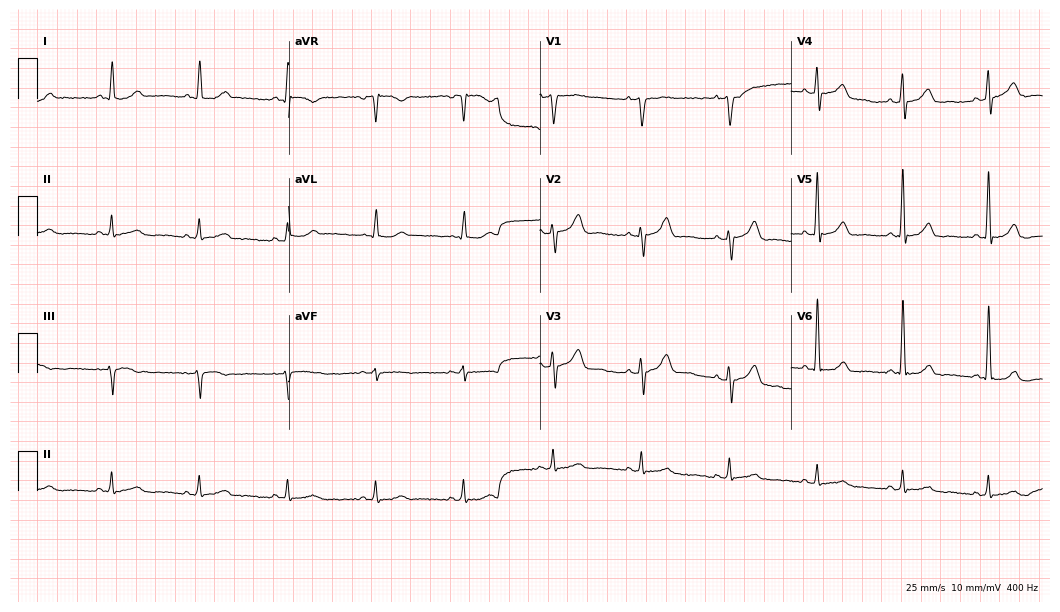
Electrocardiogram, a male patient, 65 years old. Of the six screened findings (first-degree AV block, right bundle branch block, left bundle branch block, sinus bradycardia, atrial fibrillation, sinus tachycardia), none is recorded. Only these six findings were labelled.